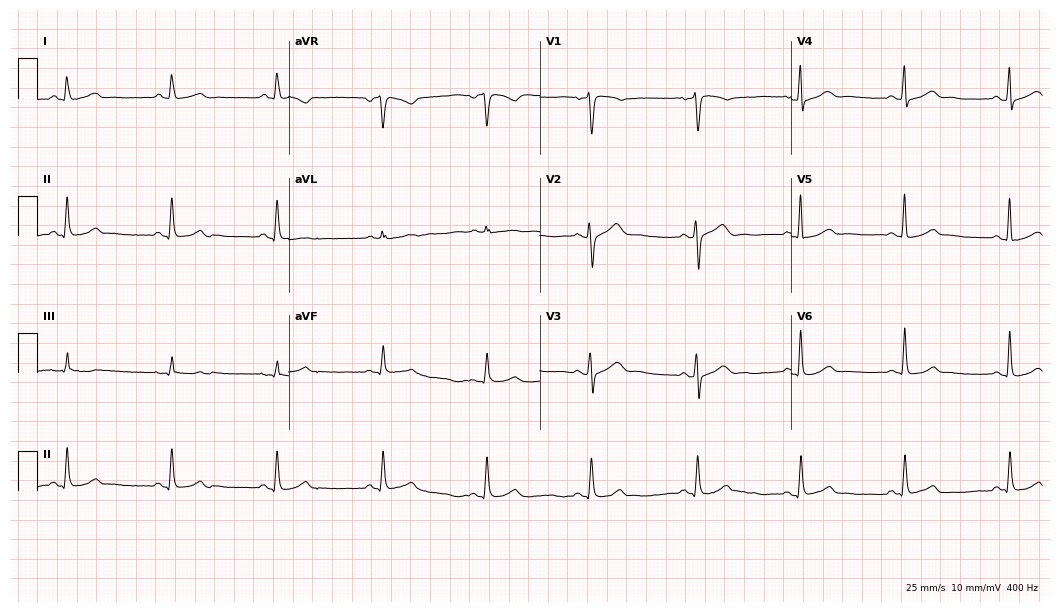
Resting 12-lead electrocardiogram. Patient: a 53-year-old male. None of these six findings is recorded: first-degree AV block, right bundle branch block, left bundle branch block, sinus bradycardia, atrial fibrillation, sinus tachycardia. Findings outside these six are not listed.